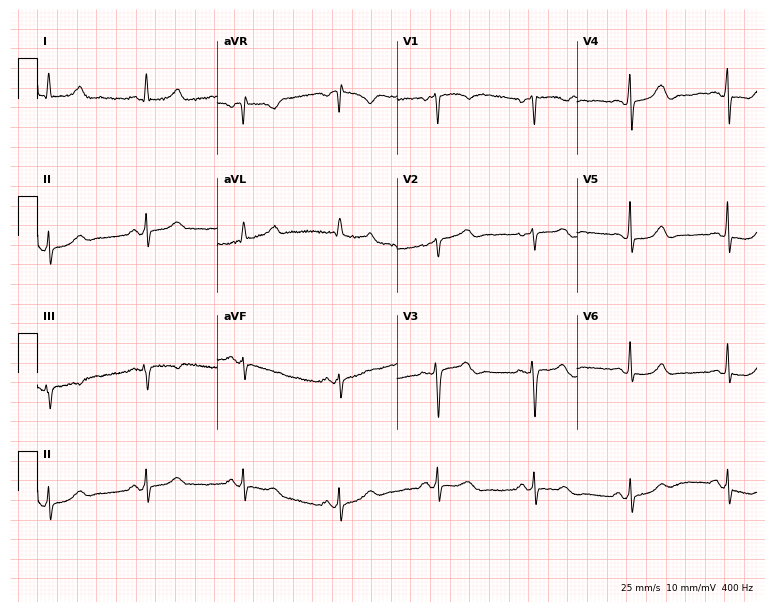
Standard 12-lead ECG recorded from a female patient, 74 years old. None of these six findings is recorded: first-degree AV block, right bundle branch block (RBBB), left bundle branch block (LBBB), sinus bradycardia, atrial fibrillation (AF), sinus tachycardia. Other findings, if any, are not listed.